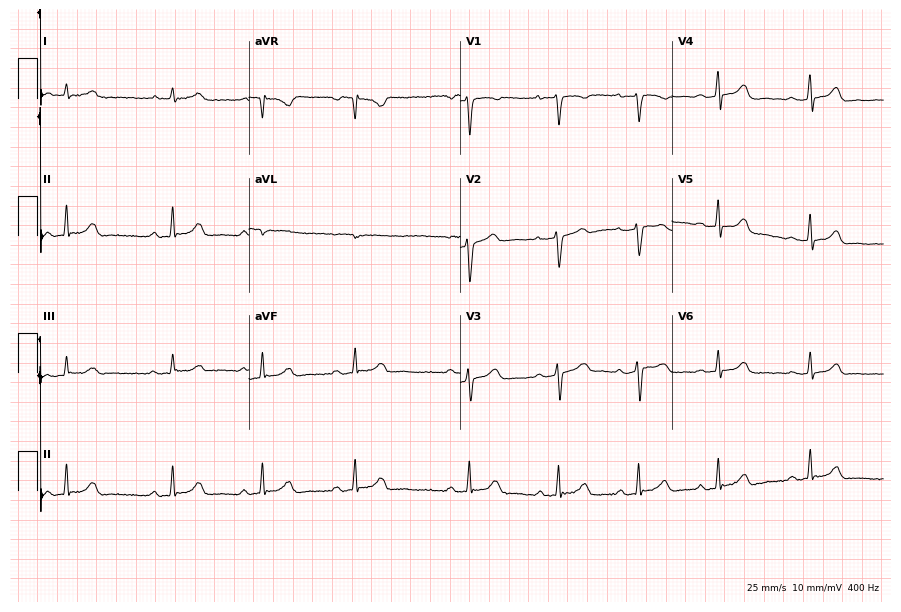
Electrocardiogram, a 38-year-old female patient. Of the six screened findings (first-degree AV block, right bundle branch block (RBBB), left bundle branch block (LBBB), sinus bradycardia, atrial fibrillation (AF), sinus tachycardia), none is recorded. Findings outside these six are not listed.